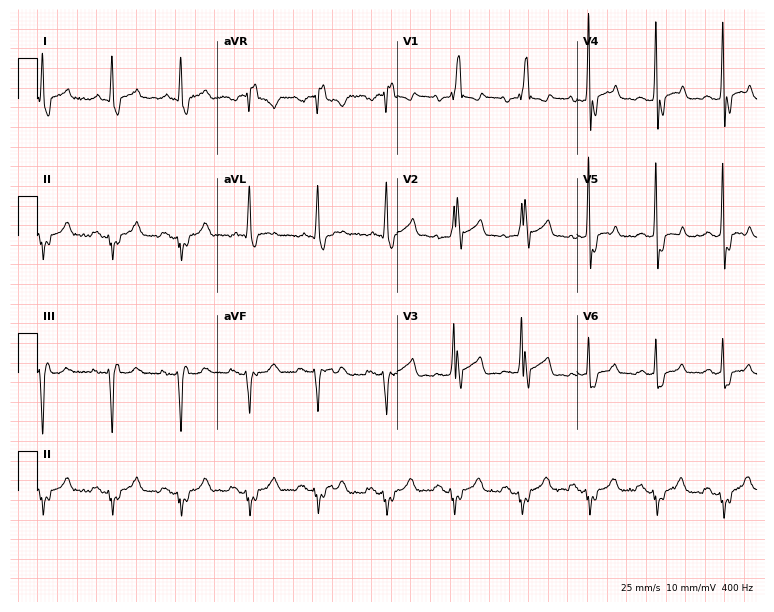
Resting 12-lead electrocardiogram (7.3-second recording at 400 Hz). Patient: a male, 62 years old. The tracing shows right bundle branch block (RBBB).